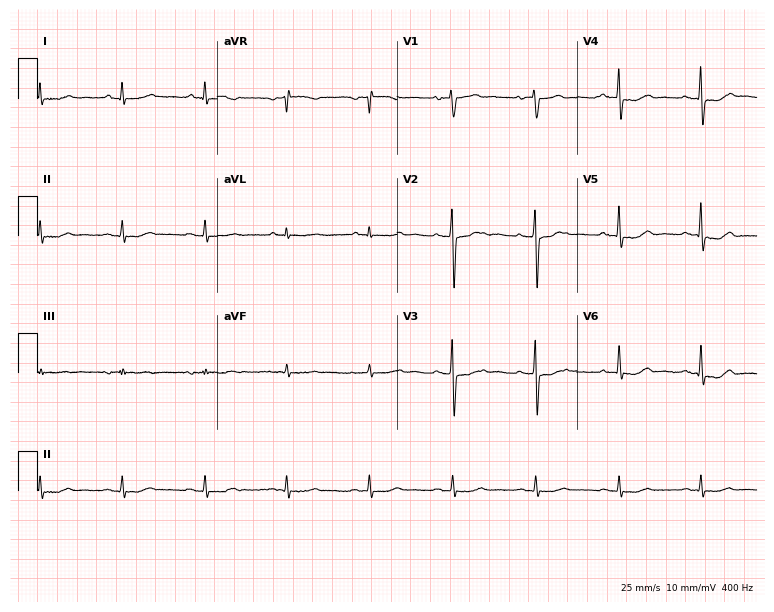
Standard 12-lead ECG recorded from a woman, 66 years old. Read as a normal ECG.